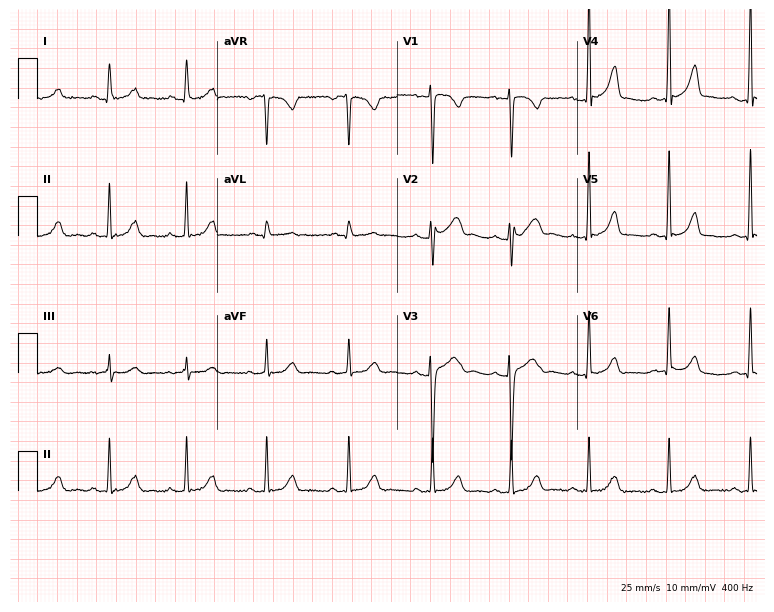
12-lead ECG from a female, 20 years old (7.3-second recording at 400 Hz). Recorded interpretation: within normal limits.